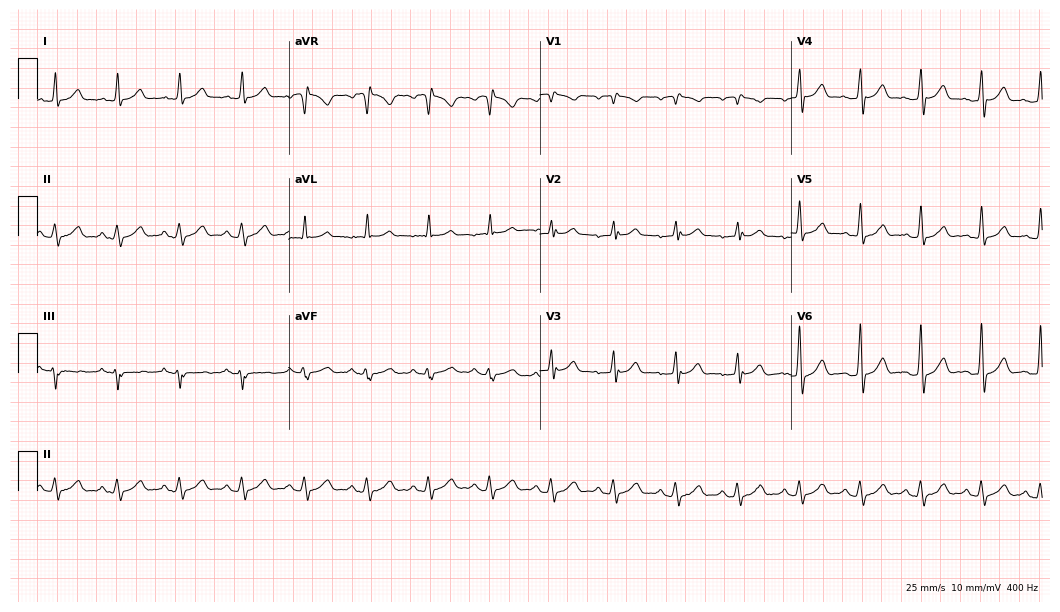
Resting 12-lead electrocardiogram (10.2-second recording at 400 Hz). Patient: a male, 66 years old. Read as a normal ECG.